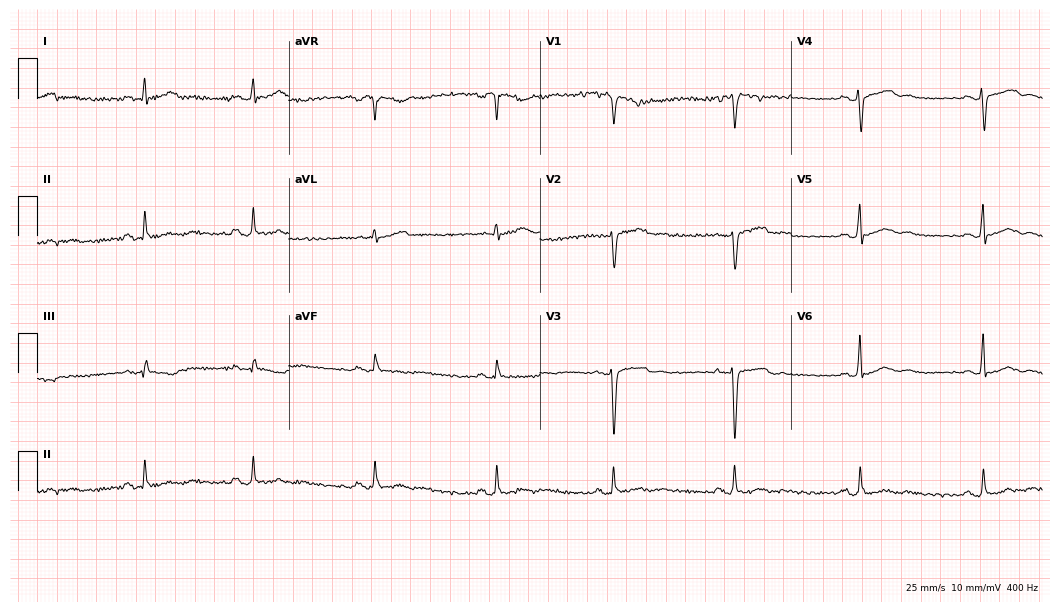
Standard 12-lead ECG recorded from a woman, 24 years old. None of these six findings is recorded: first-degree AV block, right bundle branch block, left bundle branch block, sinus bradycardia, atrial fibrillation, sinus tachycardia. Only these six findings were labelled.